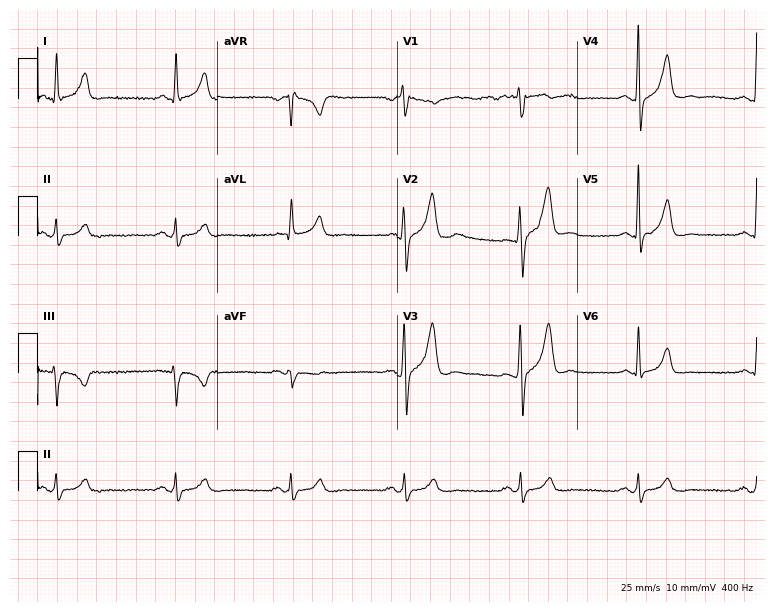
Electrocardiogram, a 56-year-old male. Of the six screened findings (first-degree AV block, right bundle branch block, left bundle branch block, sinus bradycardia, atrial fibrillation, sinus tachycardia), none is recorded.